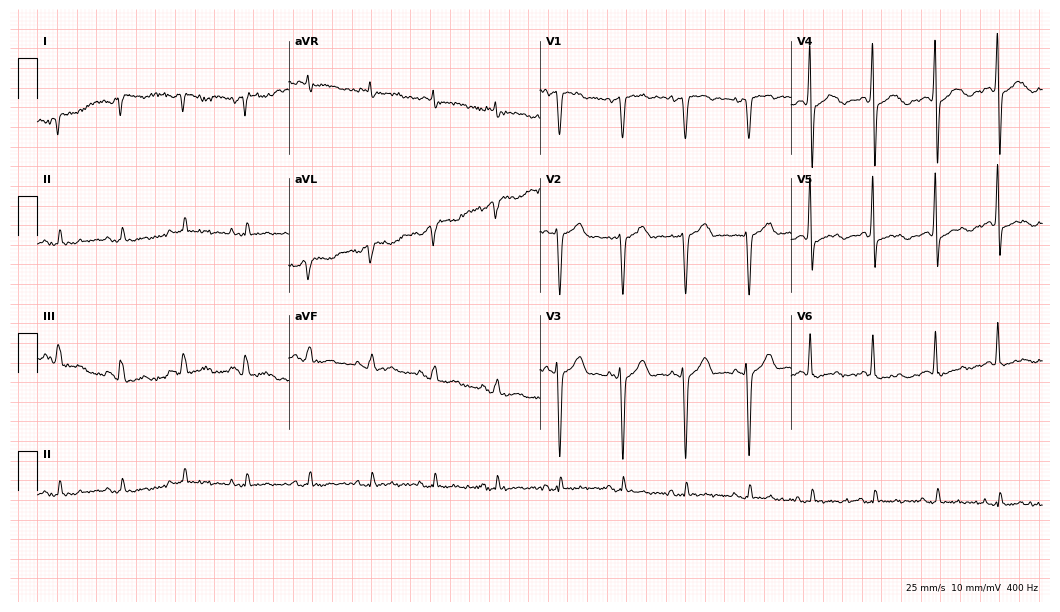
12-lead ECG from a 66-year-old male patient (10.2-second recording at 400 Hz). No first-degree AV block, right bundle branch block, left bundle branch block, sinus bradycardia, atrial fibrillation or sinus tachycardia recorded for this tracing.